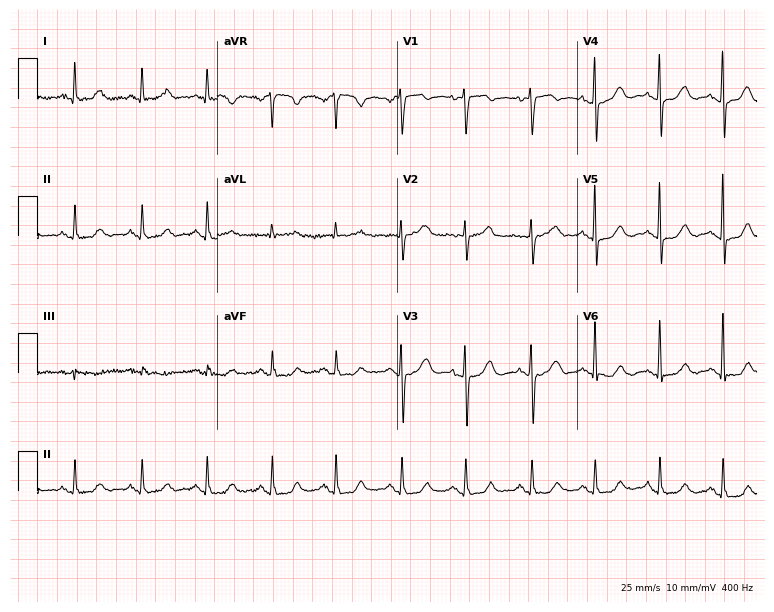
Electrocardiogram, a female, 74 years old. Overall reading on record: normal ECG.